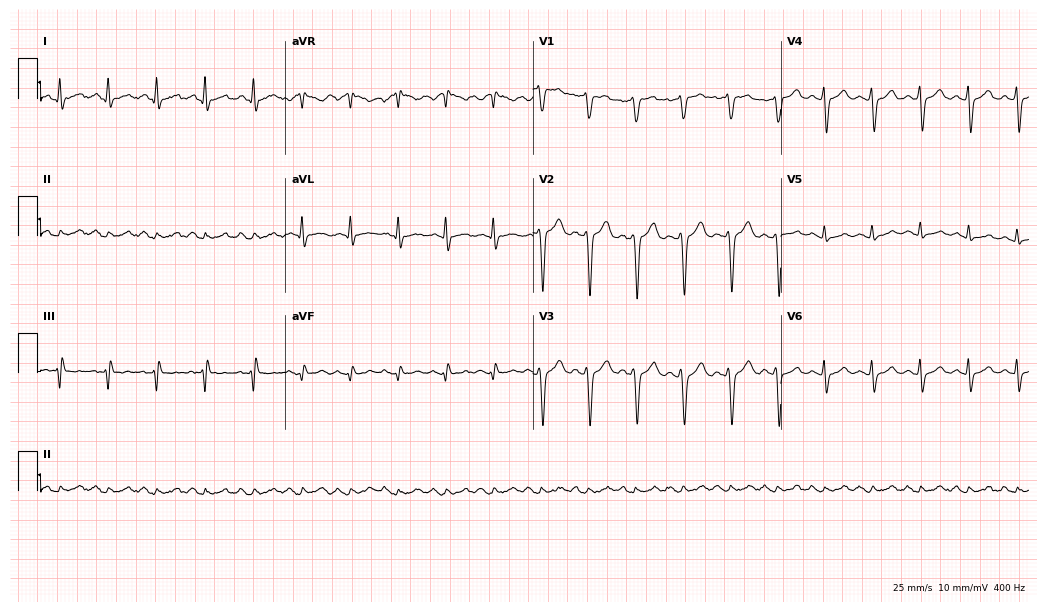
12-lead ECG from a 43-year-old male patient. Findings include sinus tachycardia (a sinus rate of 100 beats per minute or more).